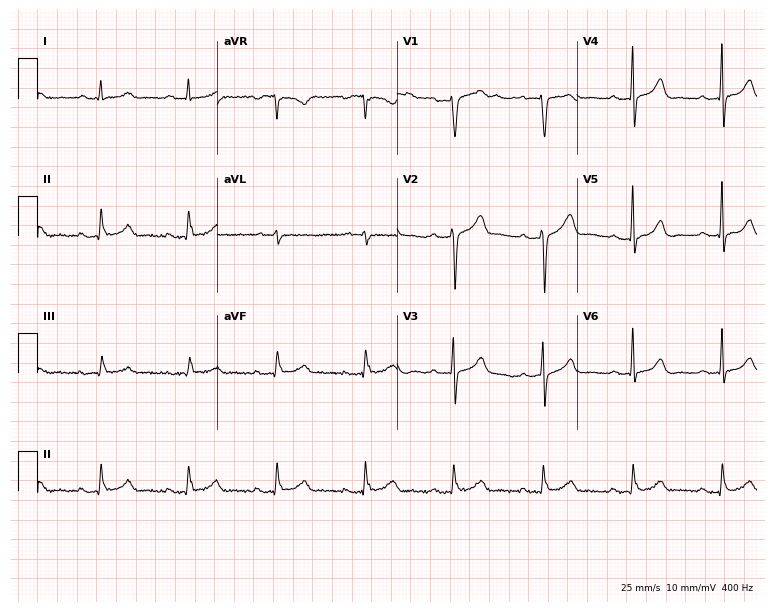
Standard 12-lead ECG recorded from a man, 61 years old (7.3-second recording at 400 Hz). Read as a normal ECG.